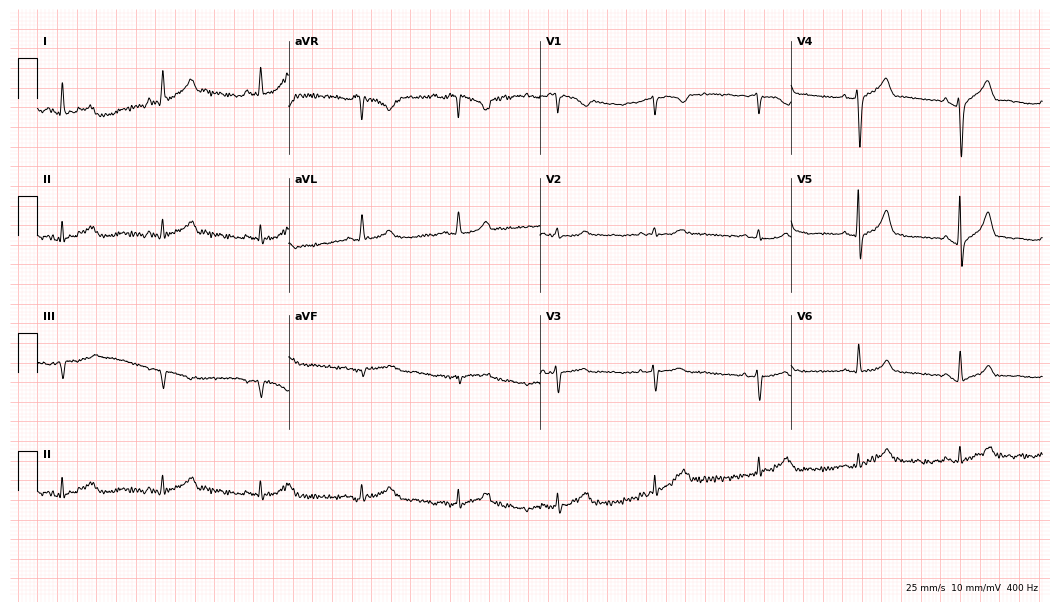
Standard 12-lead ECG recorded from a 67-year-old female. Read as a normal ECG.